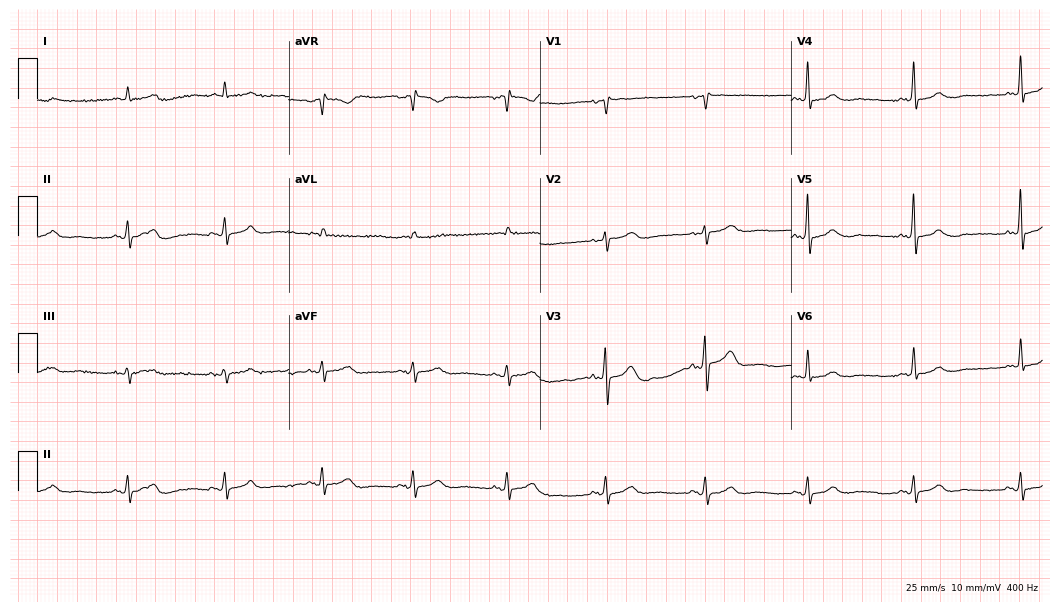
Electrocardiogram (10.2-second recording at 400 Hz), an 84-year-old male. Overall reading on record: normal ECG.